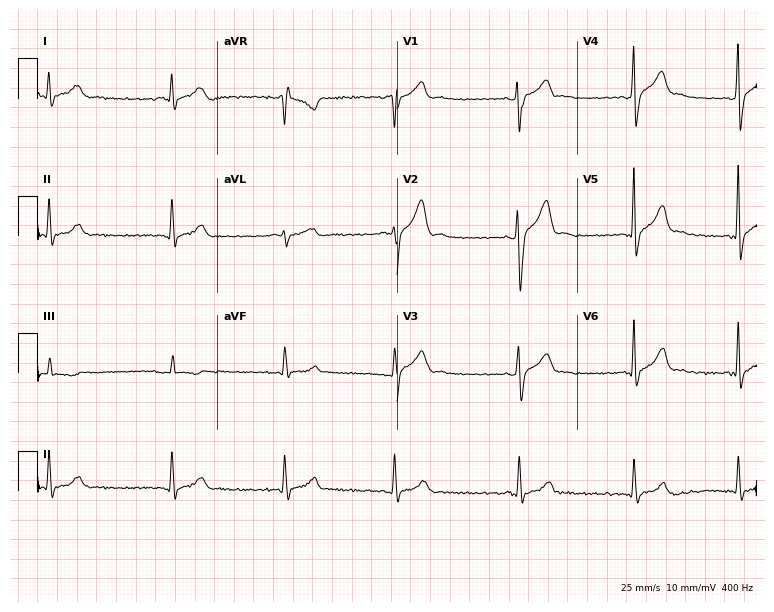
Electrocardiogram (7.3-second recording at 400 Hz), a male, 30 years old. Of the six screened findings (first-degree AV block, right bundle branch block, left bundle branch block, sinus bradycardia, atrial fibrillation, sinus tachycardia), none is recorded. Findings outside these six are not listed.